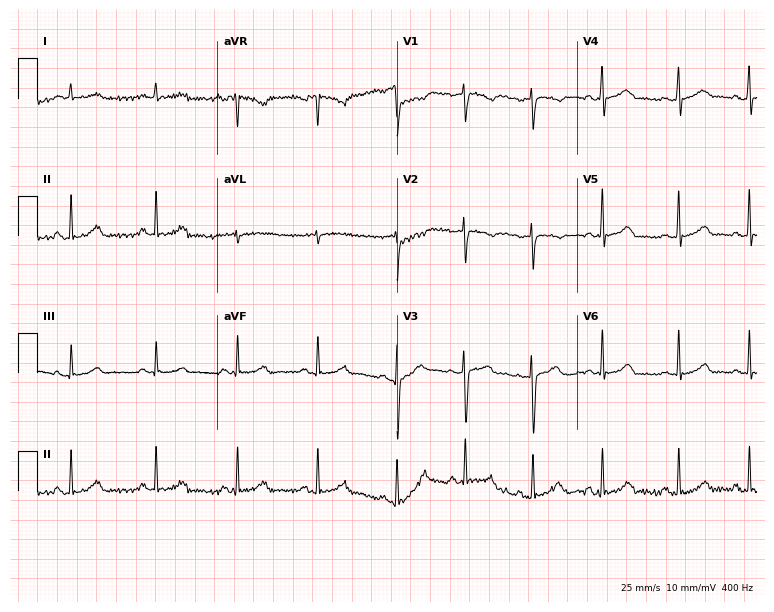
Electrocardiogram (7.3-second recording at 400 Hz), a woman, 28 years old. Overall reading on record: normal ECG.